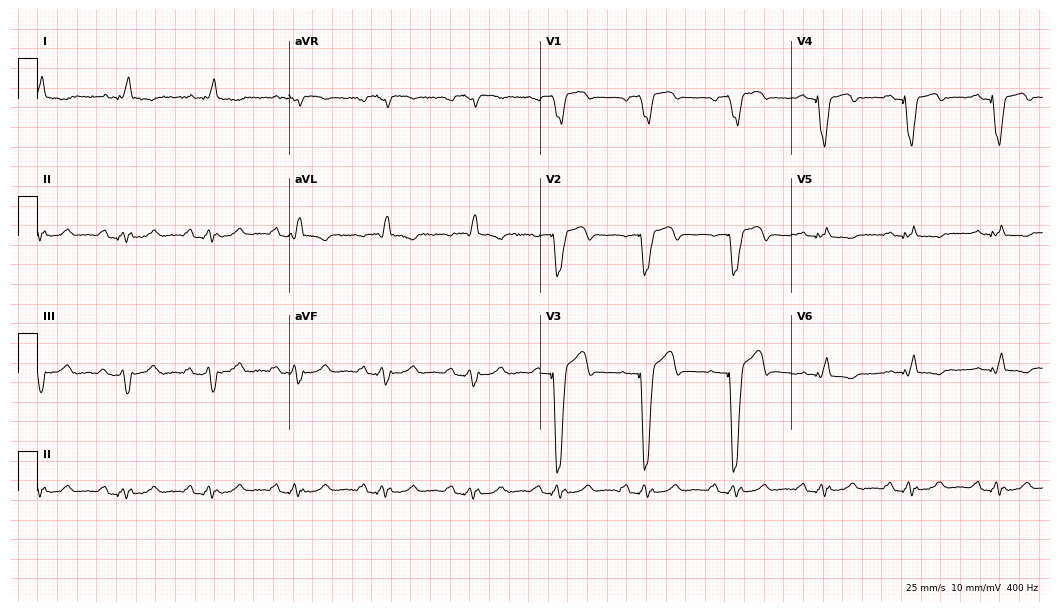
Electrocardiogram (10.2-second recording at 400 Hz), a 65-year-old male. Of the six screened findings (first-degree AV block, right bundle branch block (RBBB), left bundle branch block (LBBB), sinus bradycardia, atrial fibrillation (AF), sinus tachycardia), none is recorded. Other findings, if any, are not listed.